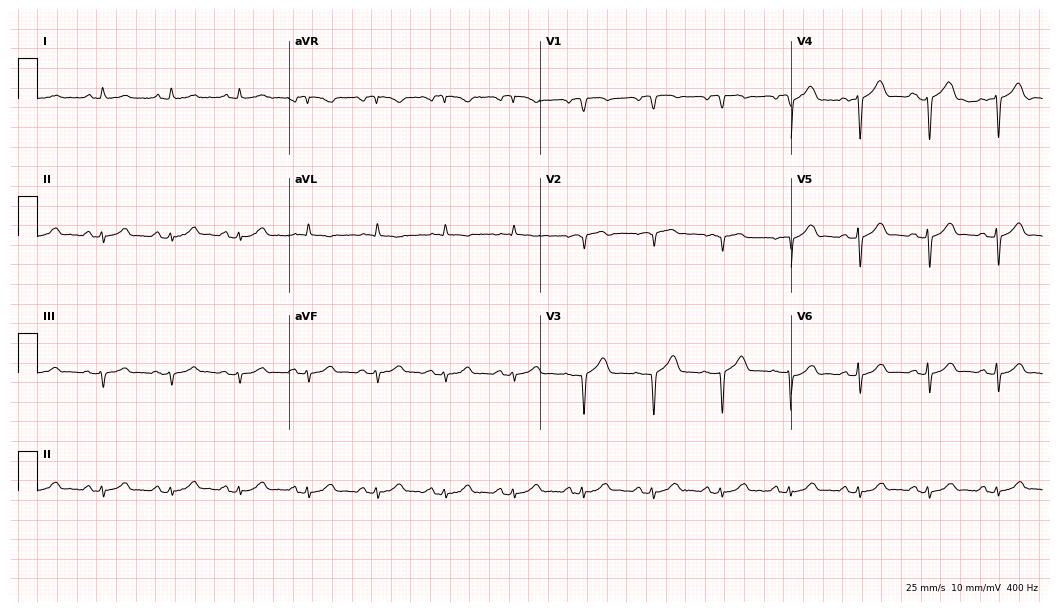
Electrocardiogram (10.2-second recording at 400 Hz), a male, 78 years old. Of the six screened findings (first-degree AV block, right bundle branch block, left bundle branch block, sinus bradycardia, atrial fibrillation, sinus tachycardia), none is recorded.